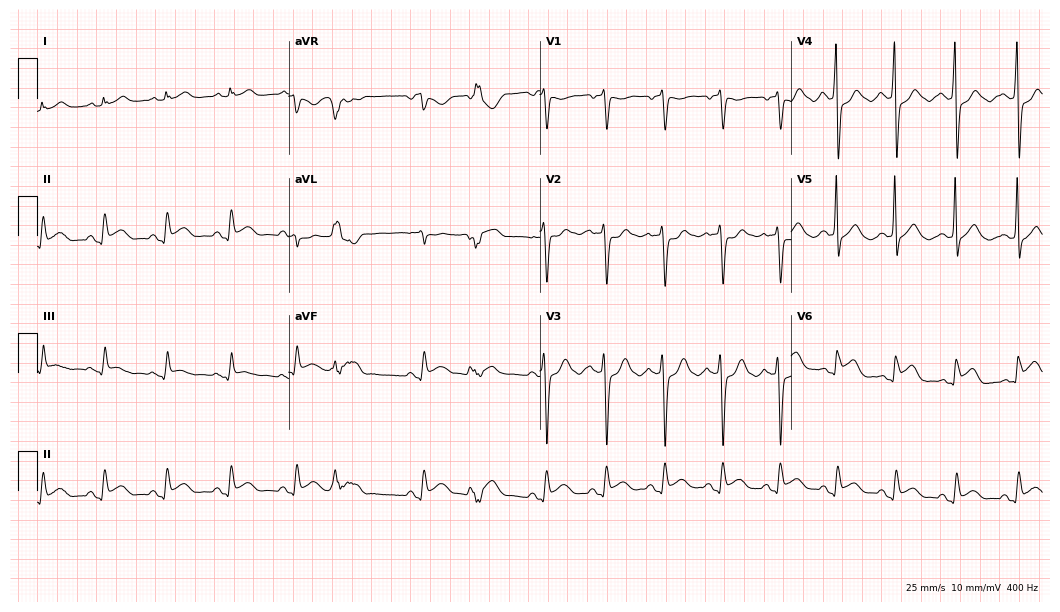
12-lead ECG from a man, 73 years old. No first-degree AV block, right bundle branch block (RBBB), left bundle branch block (LBBB), sinus bradycardia, atrial fibrillation (AF) or sinus tachycardia recorded for this tracing.